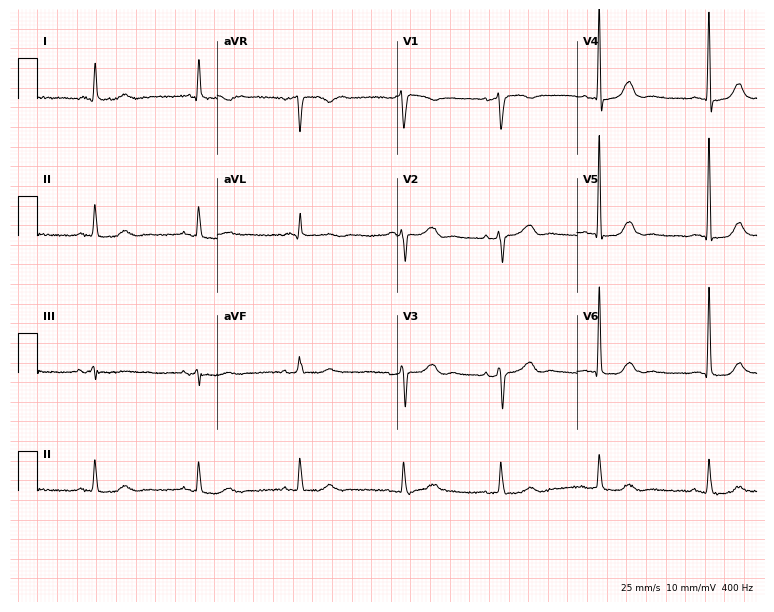
12-lead ECG from a 71-year-old woman (7.3-second recording at 400 Hz). No first-degree AV block, right bundle branch block, left bundle branch block, sinus bradycardia, atrial fibrillation or sinus tachycardia recorded for this tracing. Other findings, if any, are not listed.